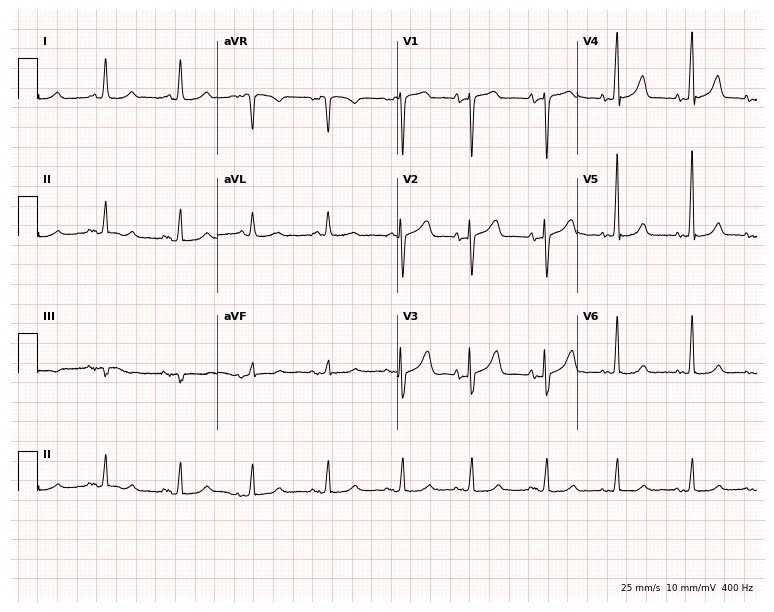
Standard 12-lead ECG recorded from a woman, 81 years old. Read as a normal ECG.